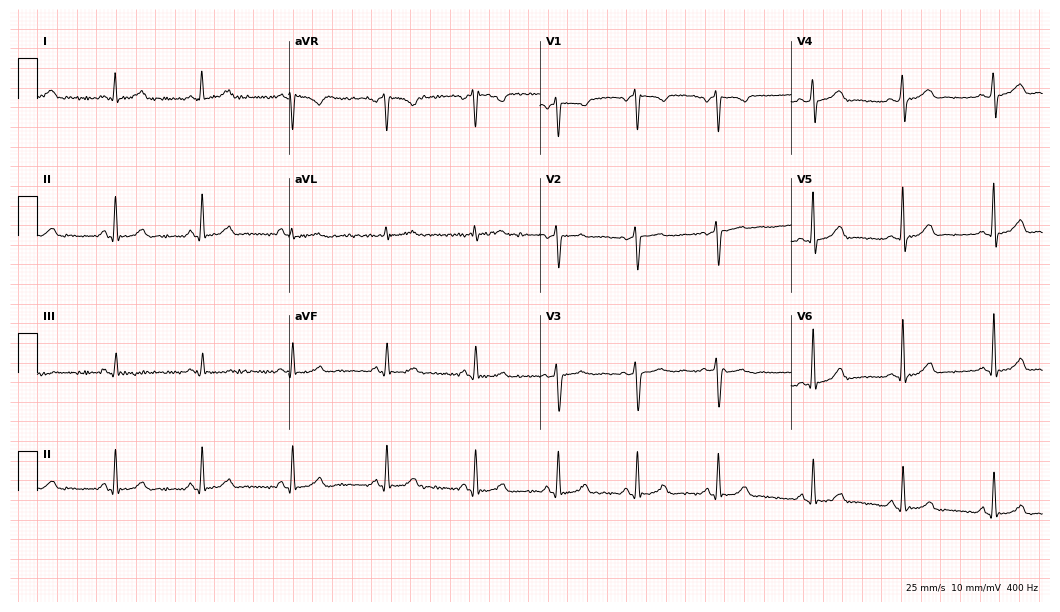
Electrocardiogram, a 47-year-old female. Overall reading on record: normal ECG.